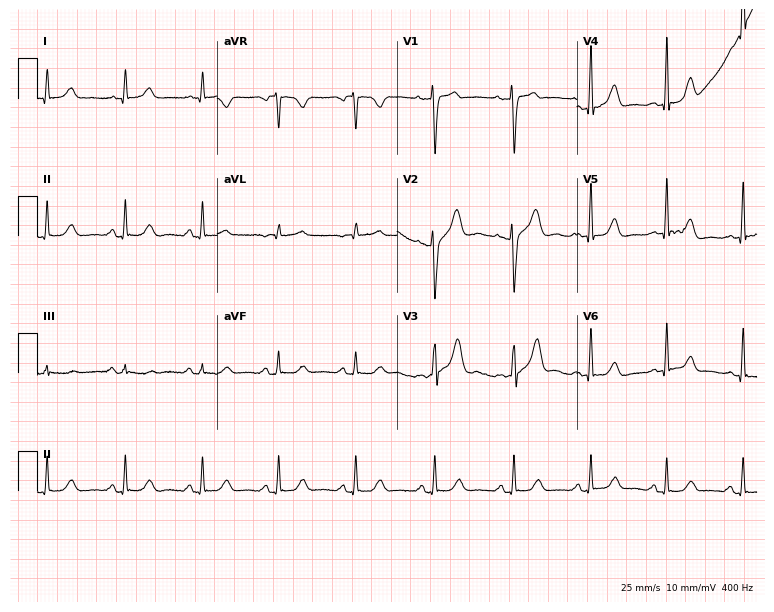
Resting 12-lead electrocardiogram (7.3-second recording at 400 Hz). Patient: a female, 48 years old. Read as a normal ECG.